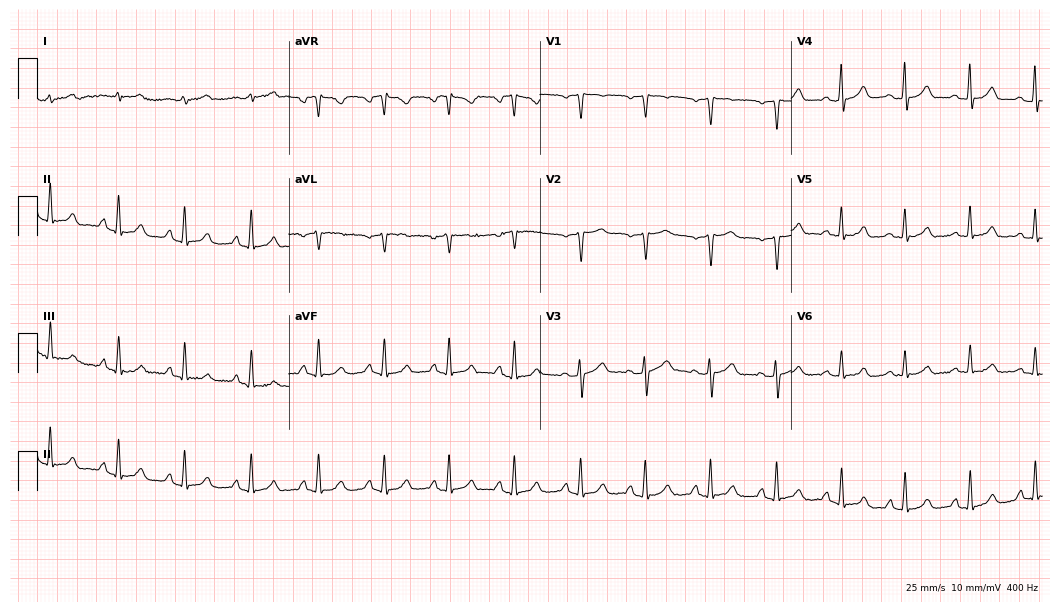
Electrocardiogram (10.2-second recording at 400 Hz), a 41-year-old woman. Overall reading on record: normal ECG.